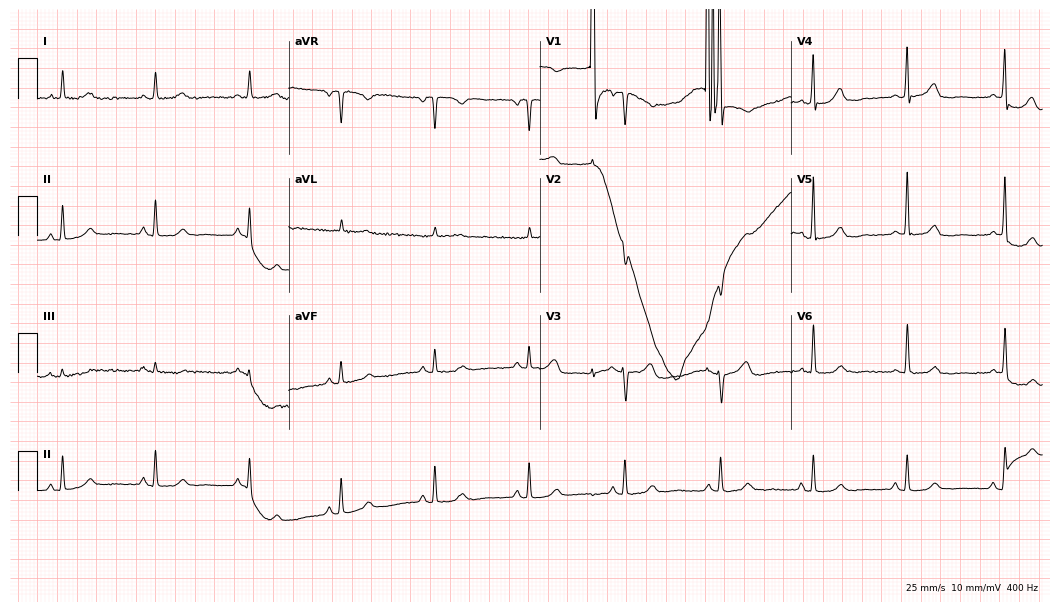
12-lead ECG (10.2-second recording at 400 Hz) from a female patient, 61 years old. Labelled as a normal ECG.